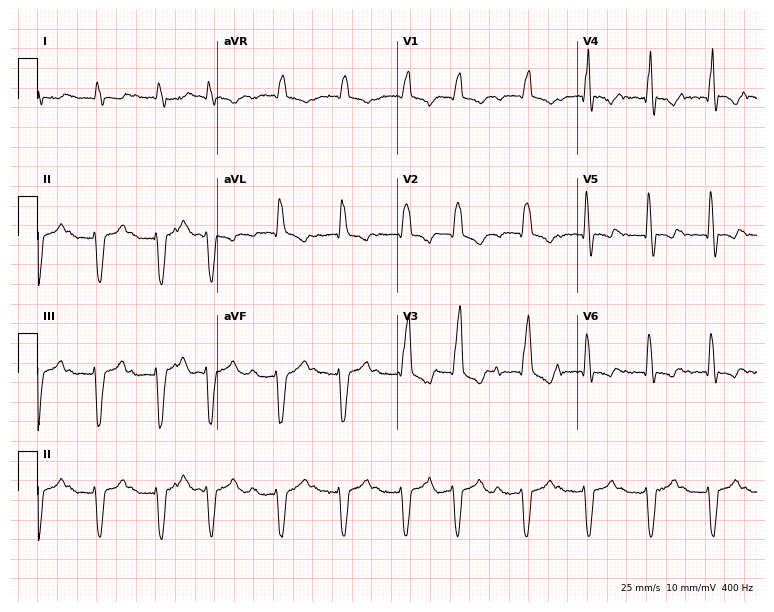
Electrocardiogram (7.3-second recording at 400 Hz), a man, 68 years old. Interpretation includes right bundle branch block, atrial fibrillation.